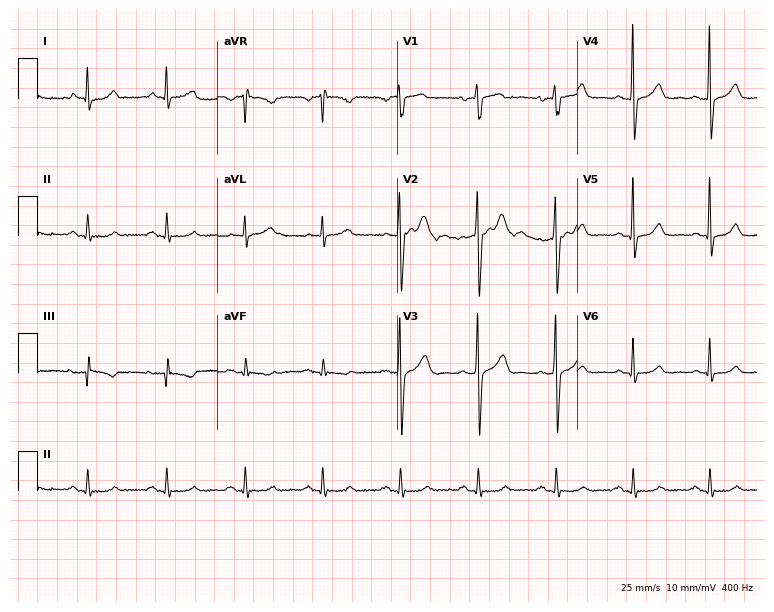
ECG — a 57-year-old male. Screened for six findings — first-degree AV block, right bundle branch block, left bundle branch block, sinus bradycardia, atrial fibrillation, sinus tachycardia — none is recorded.